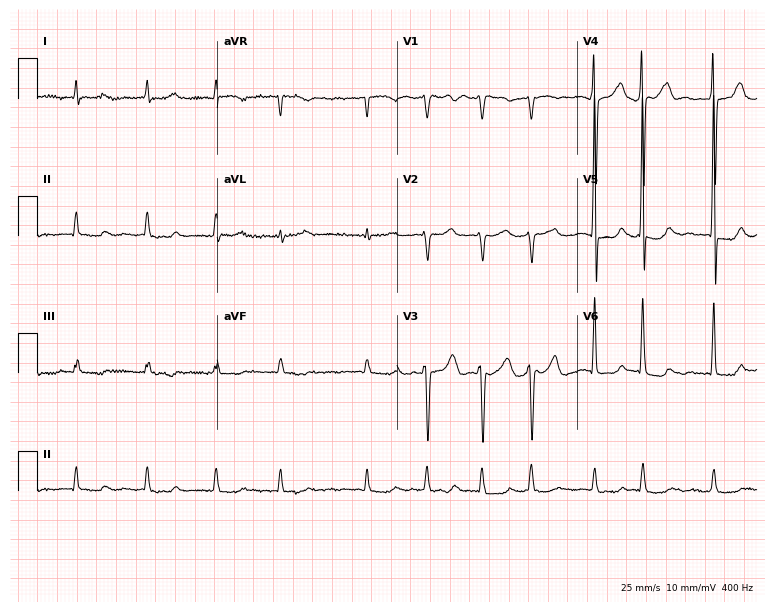
12-lead ECG (7.3-second recording at 400 Hz) from a male patient, 80 years old. Findings include atrial fibrillation.